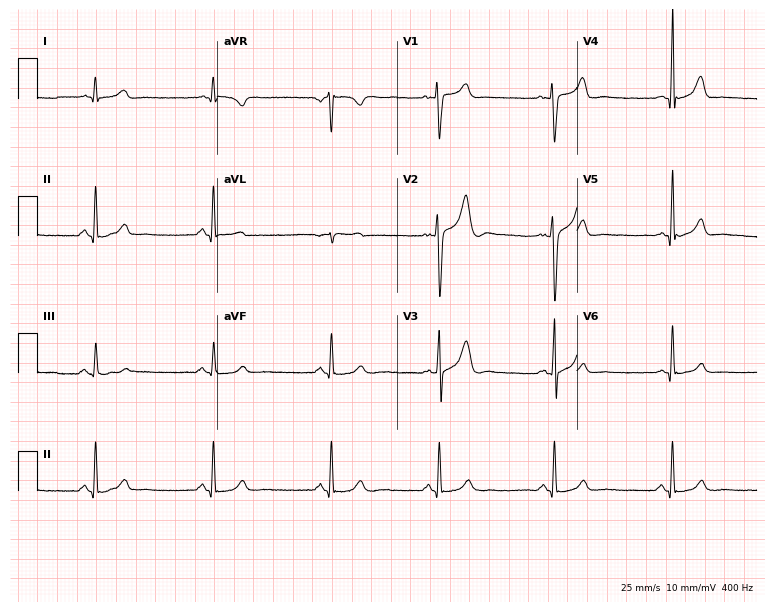
Standard 12-lead ECG recorded from a 35-year-old male patient. None of these six findings is recorded: first-degree AV block, right bundle branch block, left bundle branch block, sinus bradycardia, atrial fibrillation, sinus tachycardia.